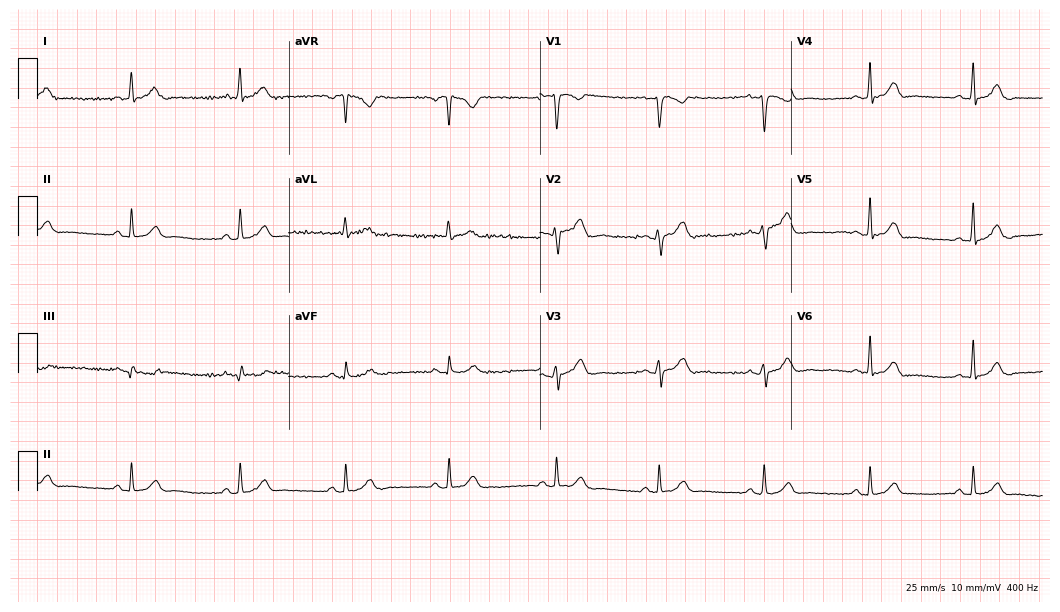
12-lead ECG from a 35-year-old female patient. Screened for six findings — first-degree AV block, right bundle branch block, left bundle branch block, sinus bradycardia, atrial fibrillation, sinus tachycardia — none is recorded. Only these six findings were labelled.